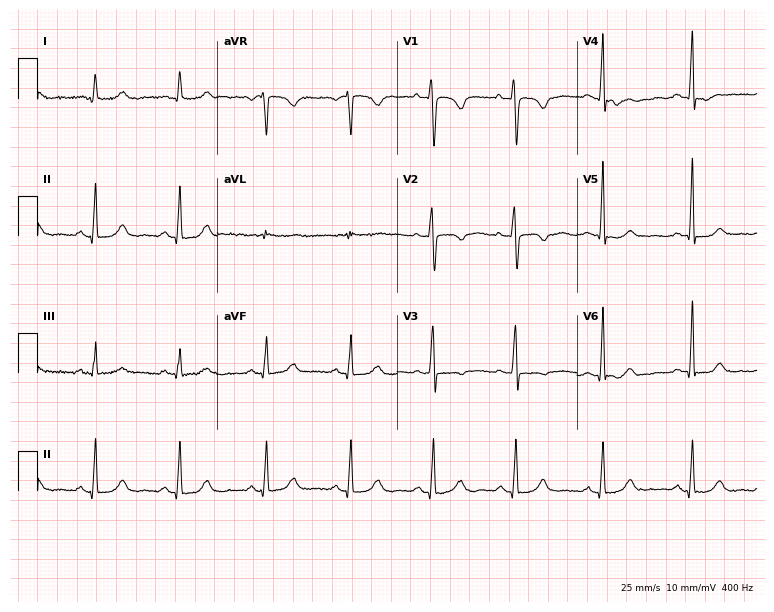
12-lead ECG from a 33-year-old female. No first-degree AV block, right bundle branch block, left bundle branch block, sinus bradycardia, atrial fibrillation or sinus tachycardia recorded for this tracing. Findings outside these six are not listed.